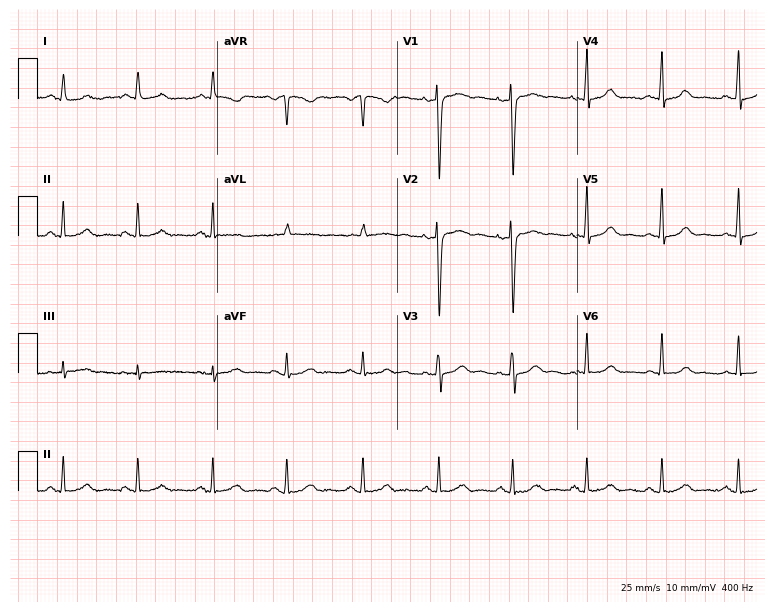
ECG — a woman, 36 years old. Screened for six findings — first-degree AV block, right bundle branch block (RBBB), left bundle branch block (LBBB), sinus bradycardia, atrial fibrillation (AF), sinus tachycardia — none is recorded. Only these six findings were labelled.